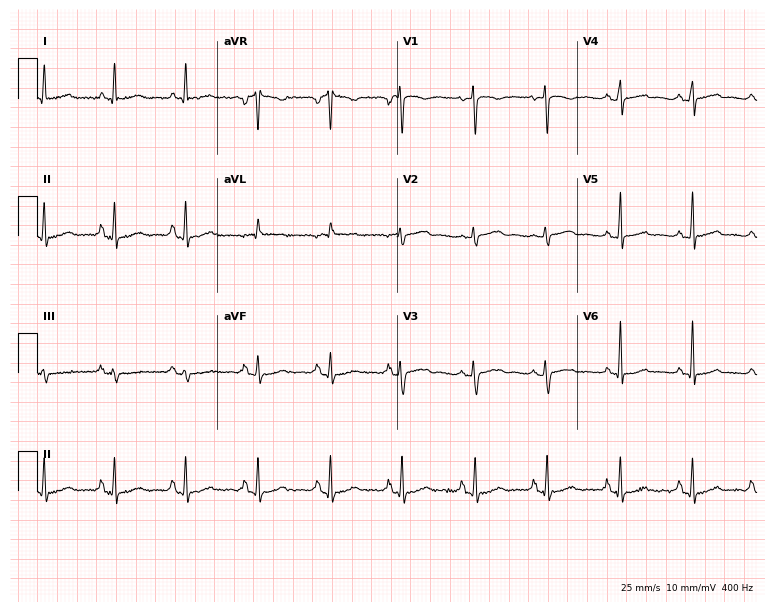
Resting 12-lead electrocardiogram. Patient: a 56-year-old woman. Read as a normal ECG.